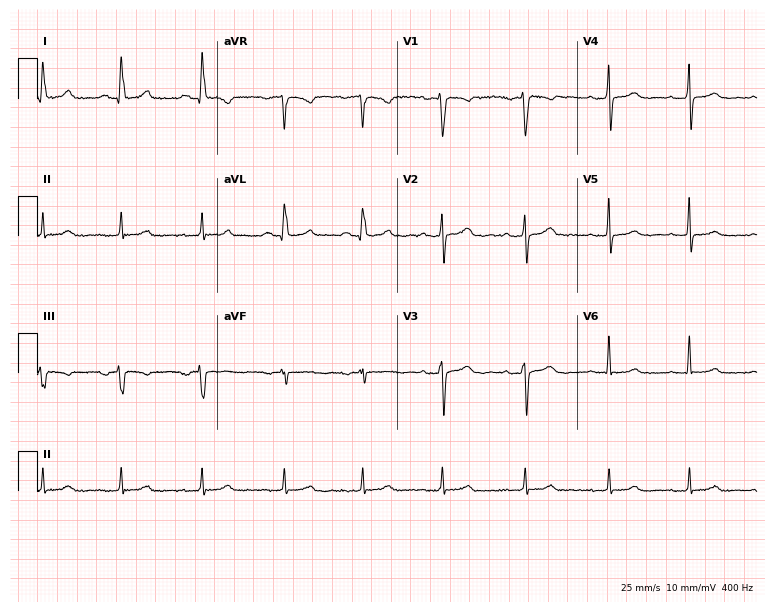
12-lead ECG from a 32-year-old woman (7.3-second recording at 400 Hz). Recorded interpretation: within normal limits.